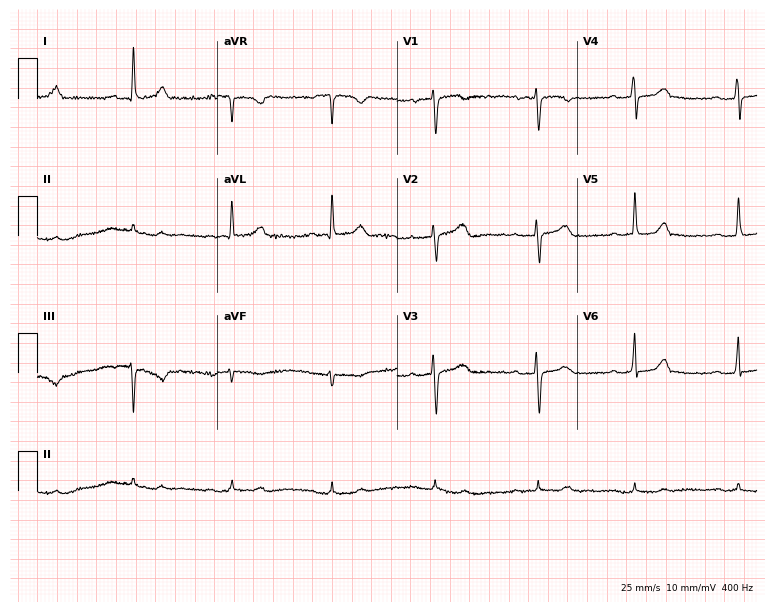
Electrocardiogram (7.3-second recording at 400 Hz), a 64-year-old female. Interpretation includes first-degree AV block.